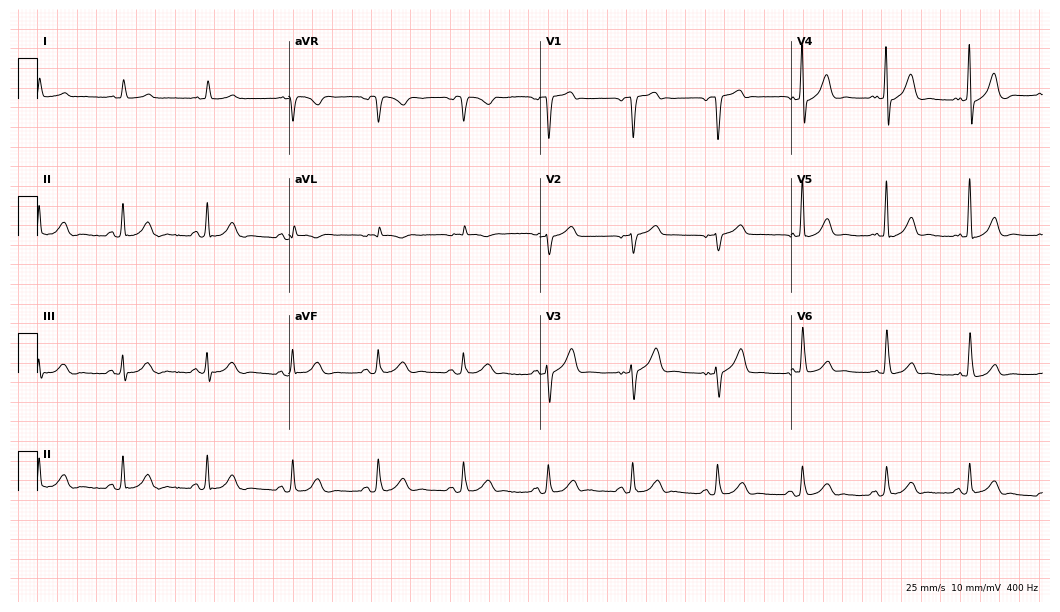
12-lead ECG from a male, 78 years old (10.2-second recording at 400 Hz). No first-degree AV block, right bundle branch block, left bundle branch block, sinus bradycardia, atrial fibrillation or sinus tachycardia recorded for this tracing.